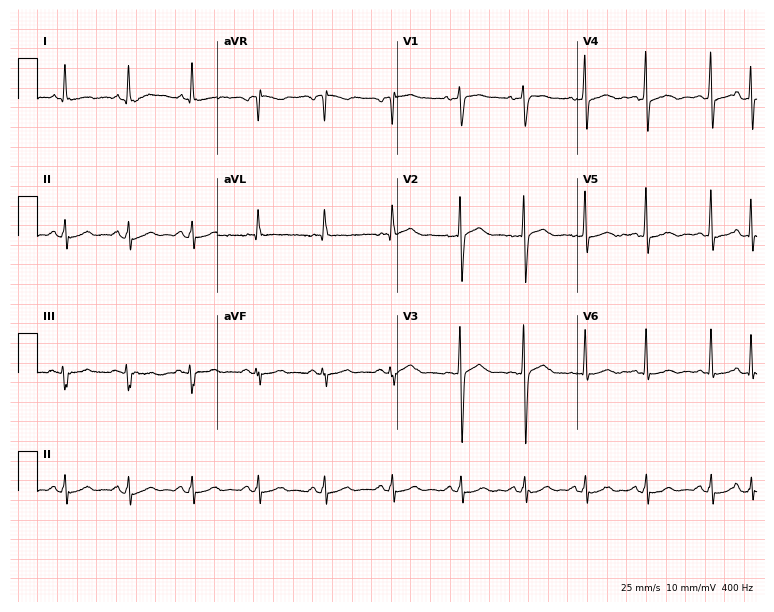
Electrocardiogram (7.3-second recording at 400 Hz), a 62-year-old male patient. Of the six screened findings (first-degree AV block, right bundle branch block, left bundle branch block, sinus bradycardia, atrial fibrillation, sinus tachycardia), none is recorded.